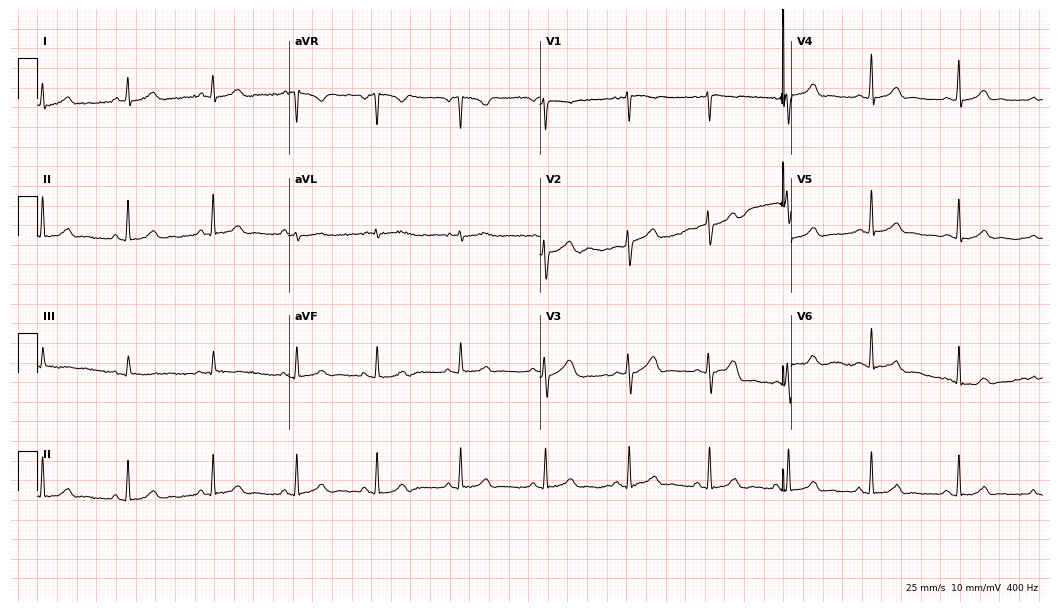
Resting 12-lead electrocardiogram (10.2-second recording at 400 Hz). Patient: a woman, 29 years old. Read as a normal ECG.